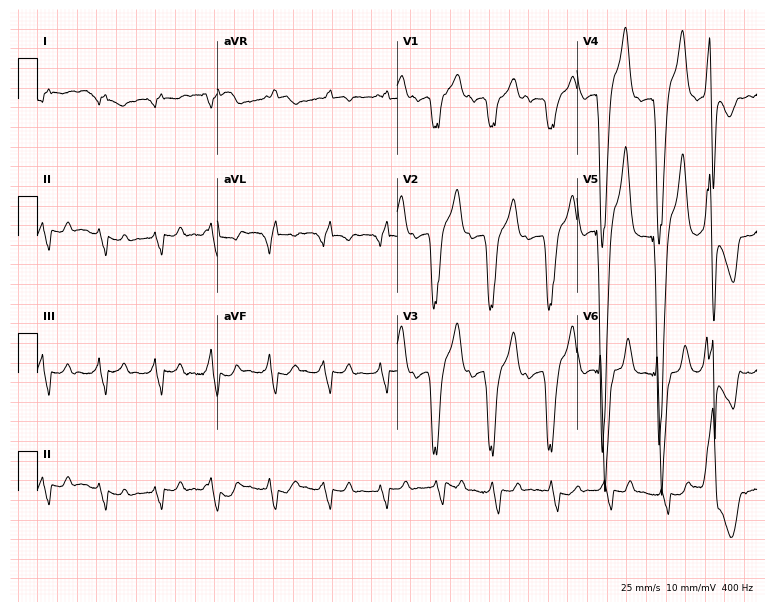
Resting 12-lead electrocardiogram (7.3-second recording at 400 Hz). Patient: a male, 81 years old. None of these six findings is recorded: first-degree AV block, right bundle branch block, left bundle branch block, sinus bradycardia, atrial fibrillation, sinus tachycardia. Other findings, if any, are not listed.